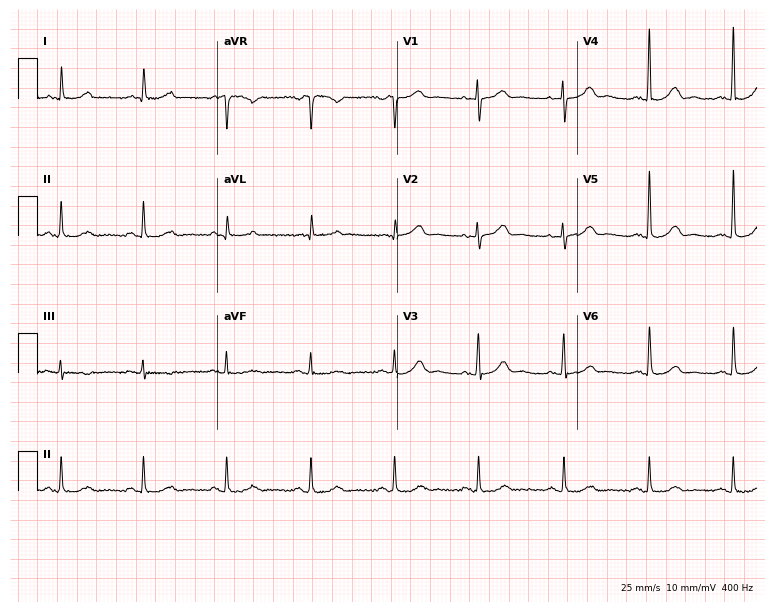
Electrocardiogram, a 75-year-old female. Overall reading on record: normal ECG.